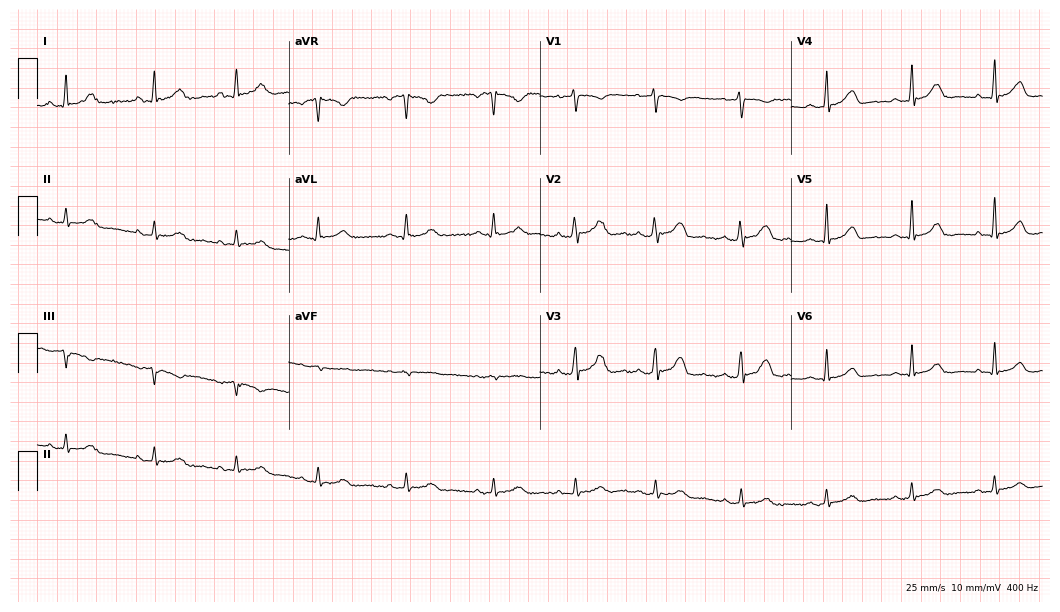
Electrocardiogram (10.2-second recording at 400 Hz), a 32-year-old female. Overall reading on record: normal ECG.